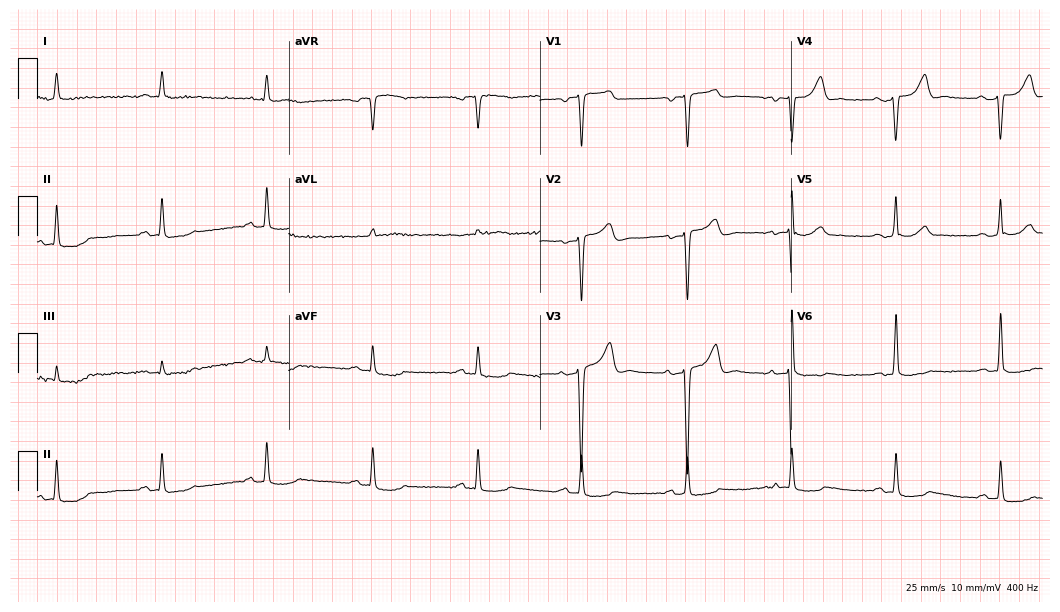
12-lead ECG from a 75-year-old male patient. Labelled as a normal ECG.